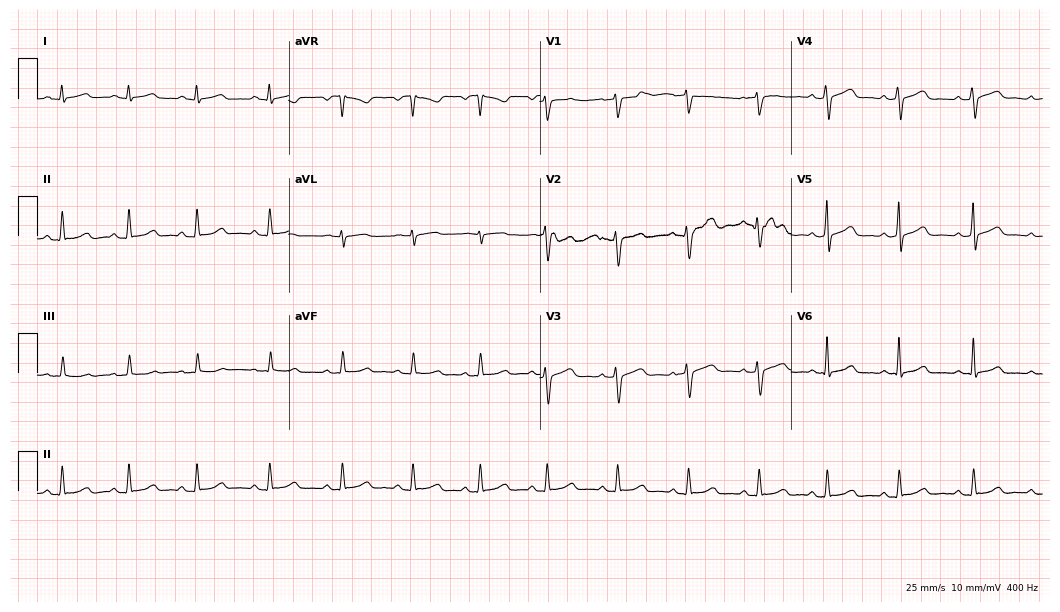
Electrocardiogram (10.2-second recording at 400 Hz), a 35-year-old woman. Of the six screened findings (first-degree AV block, right bundle branch block (RBBB), left bundle branch block (LBBB), sinus bradycardia, atrial fibrillation (AF), sinus tachycardia), none is recorded. Only these six findings were labelled.